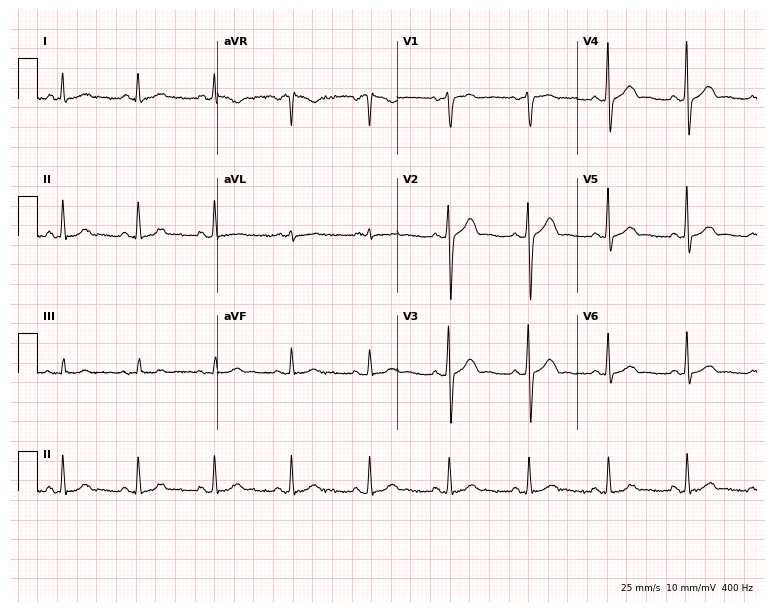
12-lead ECG from a 45-year-old male patient. Labelled as a normal ECG.